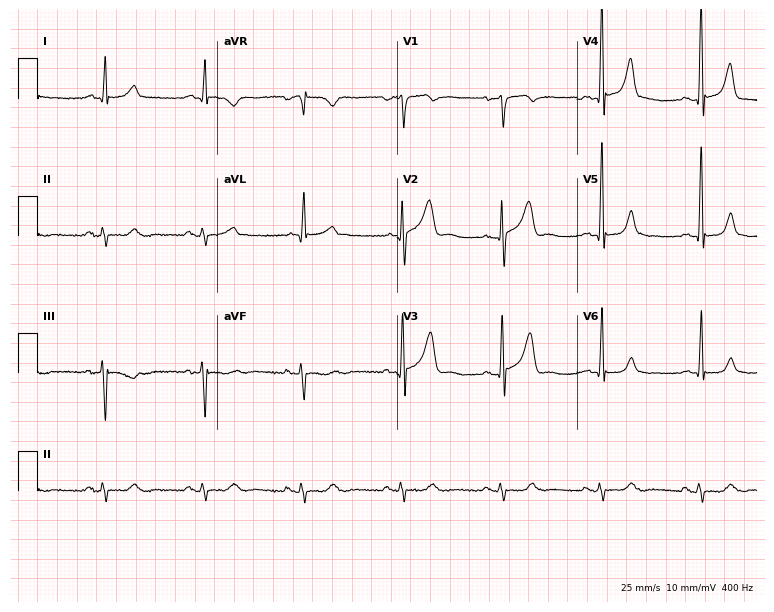
12-lead ECG from a 56-year-old male. Recorded interpretation: within normal limits.